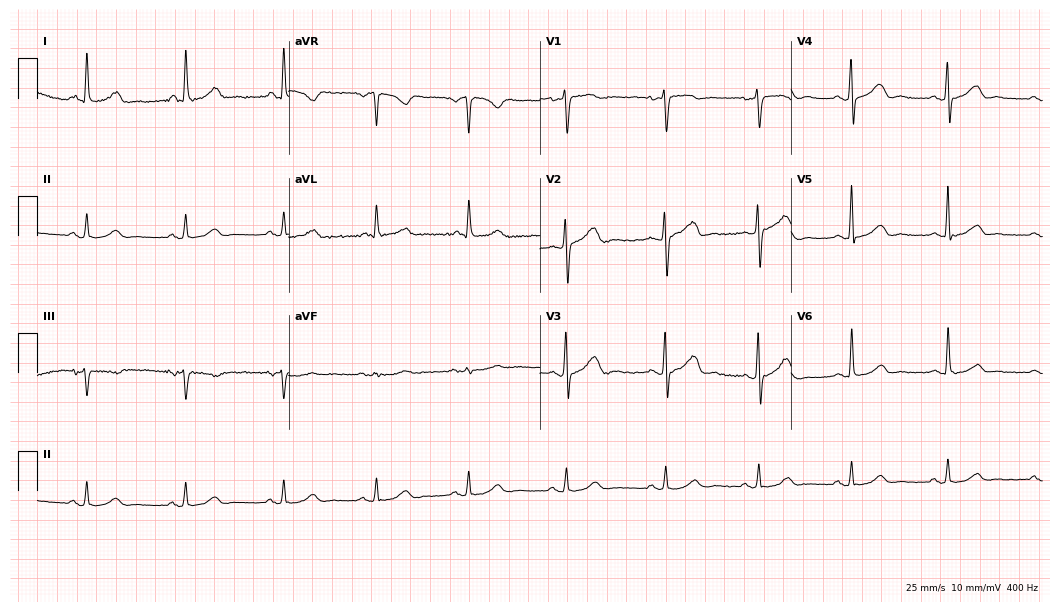
12-lead ECG from a 48-year-old female patient. Screened for six findings — first-degree AV block, right bundle branch block (RBBB), left bundle branch block (LBBB), sinus bradycardia, atrial fibrillation (AF), sinus tachycardia — none is recorded.